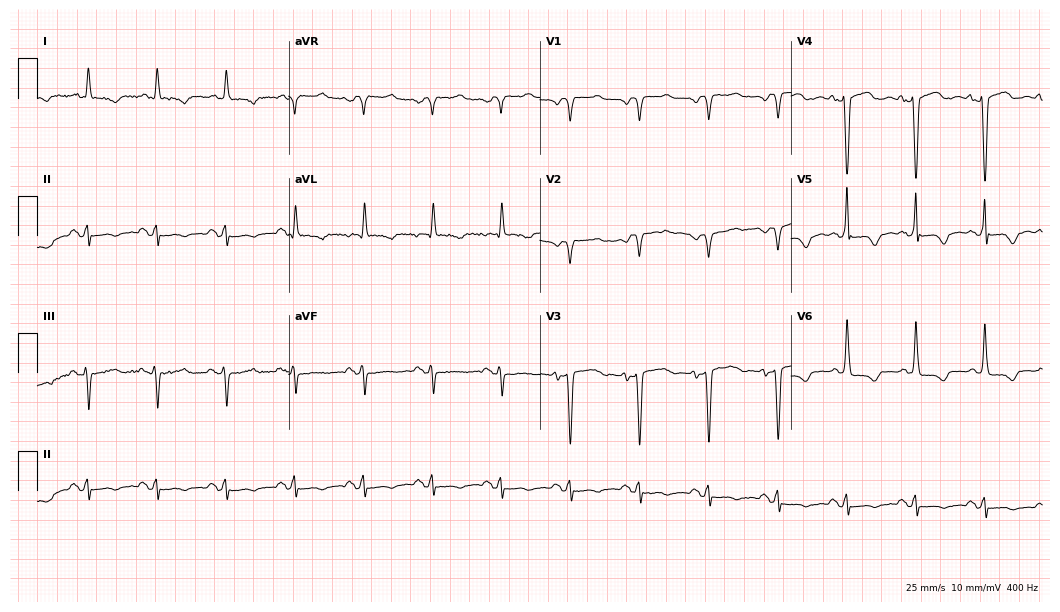
12-lead ECG from a 78-year-old female patient. Screened for six findings — first-degree AV block, right bundle branch block, left bundle branch block, sinus bradycardia, atrial fibrillation, sinus tachycardia — none is recorded. Only these six findings were labelled.